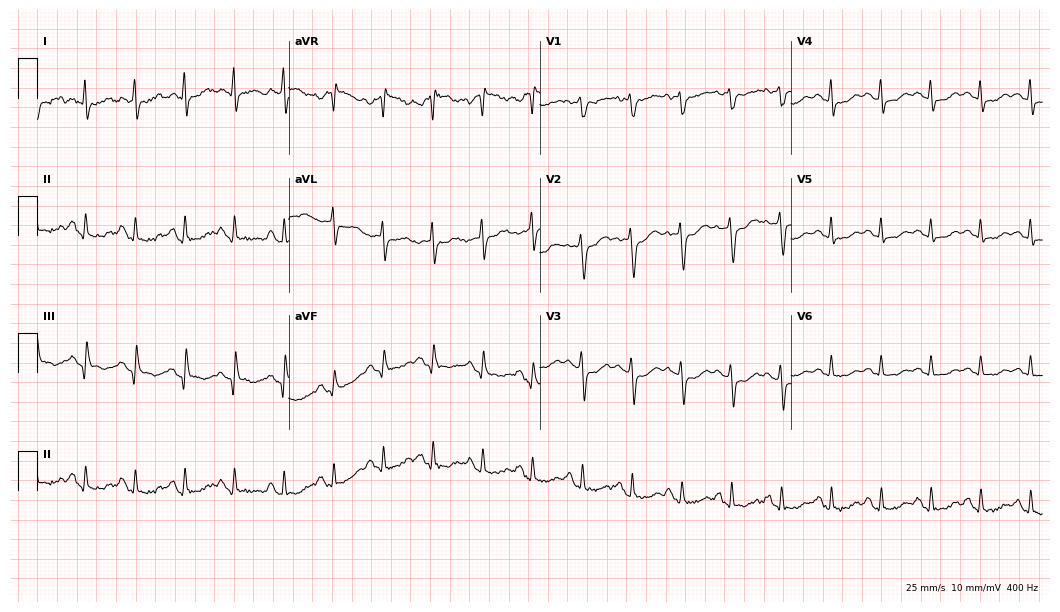
12-lead ECG (10.2-second recording at 400 Hz) from a 54-year-old female. Findings include sinus tachycardia (a sinus rate of 100 beats per minute or more).